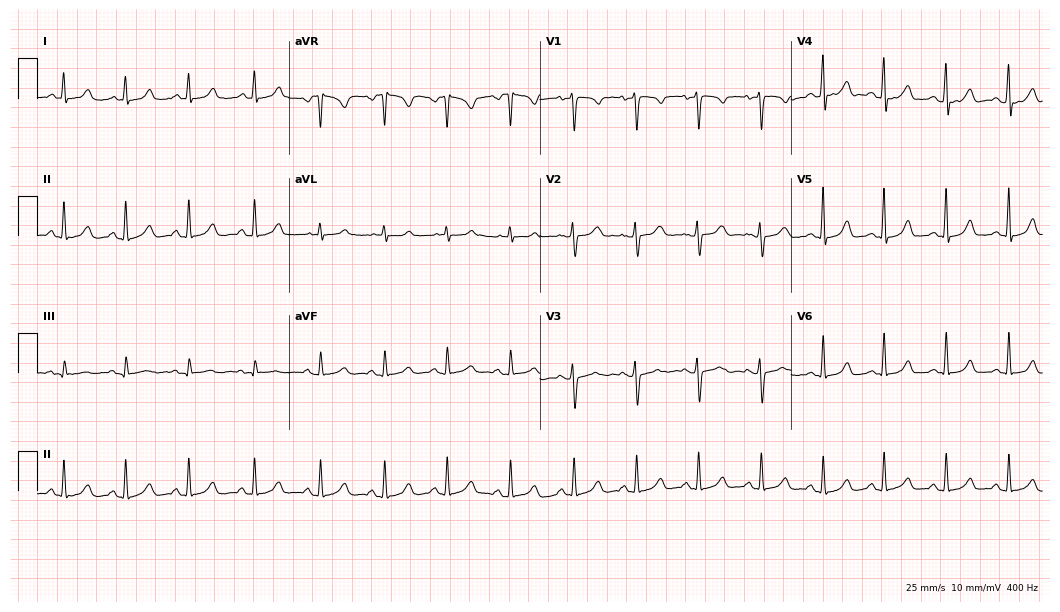
ECG (10.2-second recording at 400 Hz) — a female, 34 years old. Labelled as a normal ECG.